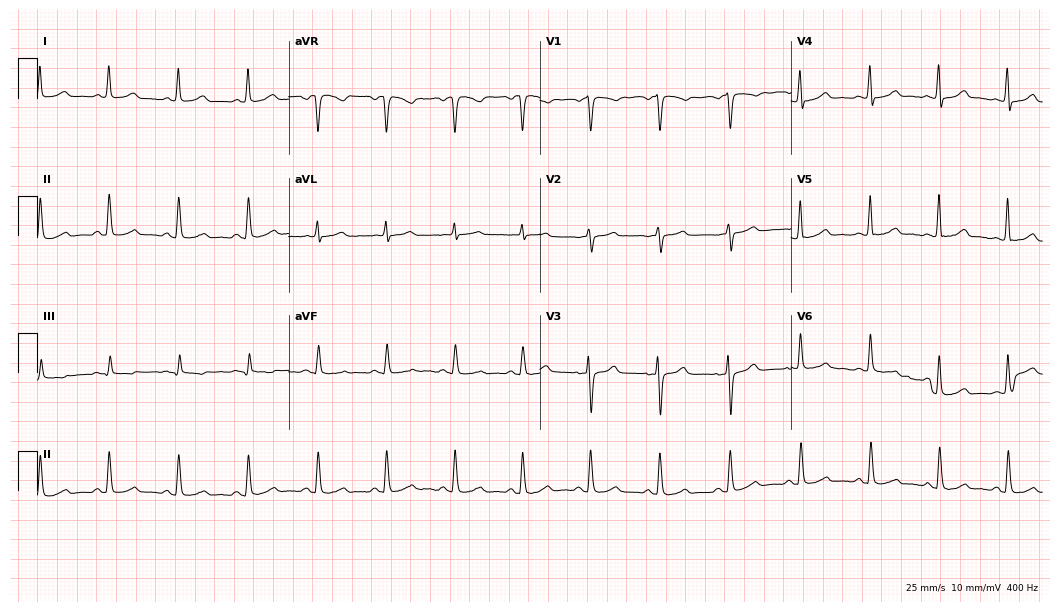
Standard 12-lead ECG recorded from a female patient, 59 years old. Read as a normal ECG.